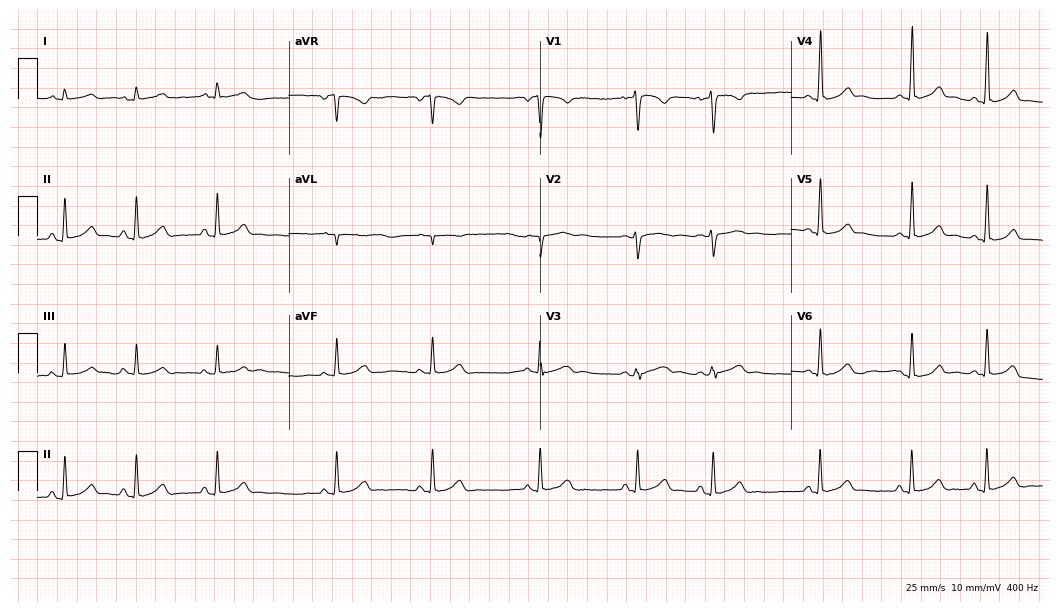
Resting 12-lead electrocardiogram. Patient: a female, 24 years old. Read as a normal ECG.